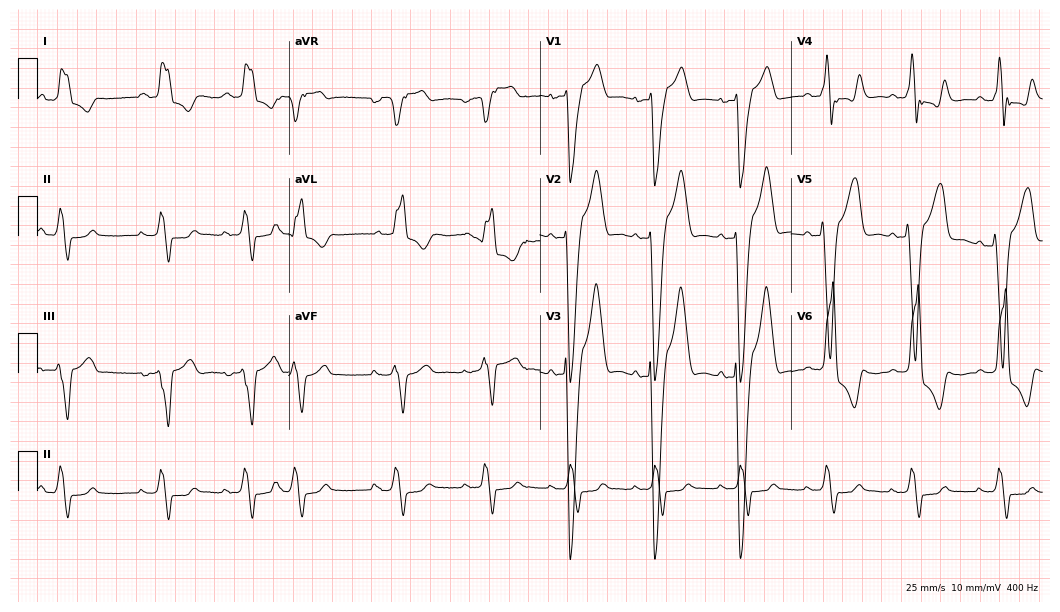
Electrocardiogram (10.2-second recording at 400 Hz), a 75-year-old male patient. Interpretation includes left bundle branch block.